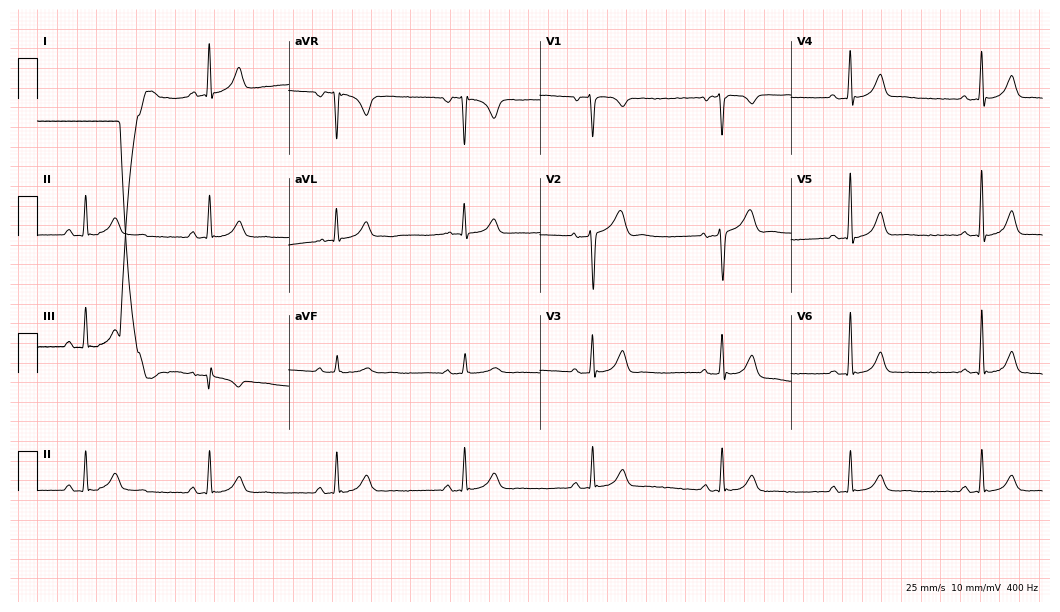
12-lead ECG (10.2-second recording at 400 Hz) from a 59-year-old man. Screened for six findings — first-degree AV block, right bundle branch block, left bundle branch block, sinus bradycardia, atrial fibrillation, sinus tachycardia — none is recorded.